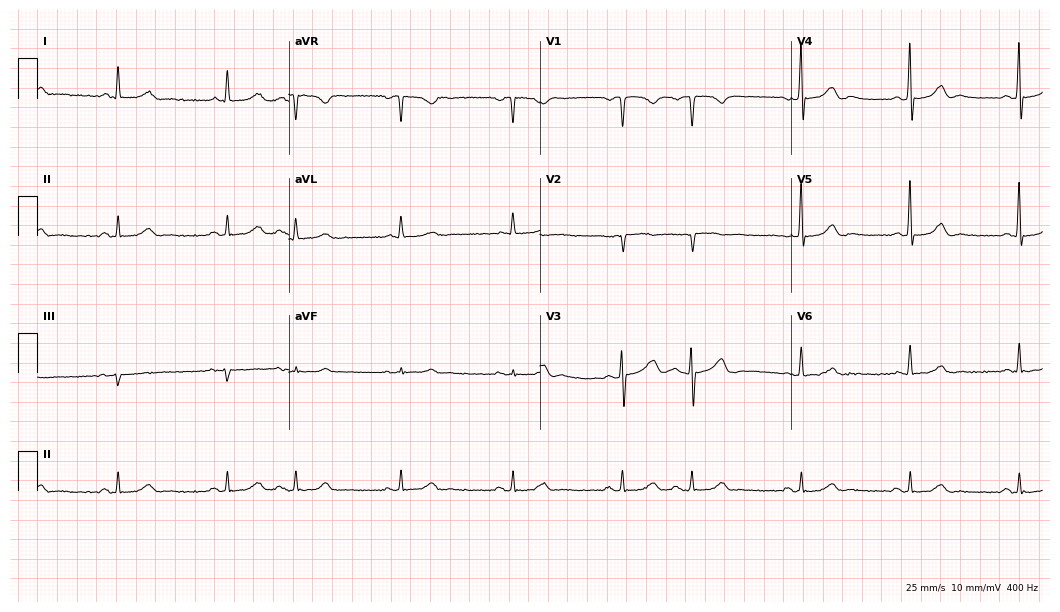
Standard 12-lead ECG recorded from an 85-year-old male. None of these six findings is recorded: first-degree AV block, right bundle branch block (RBBB), left bundle branch block (LBBB), sinus bradycardia, atrial fibrillation (AF), sinus tachycardia.